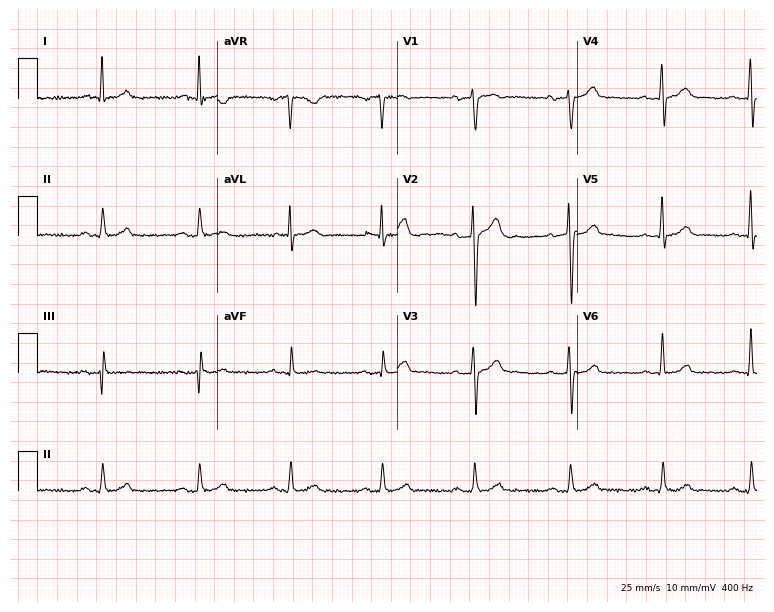
Standard 12-lead ECG recorded from a male, 42 years old. Read as a normal ECG.